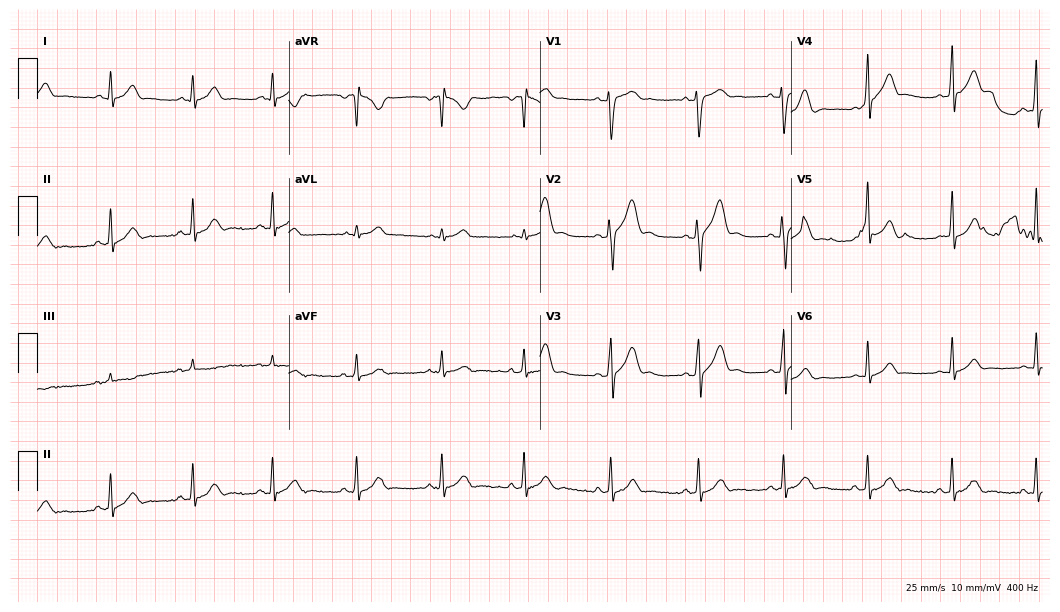
12-lead ECG from a male patient, 20 years old. Recorded interpretation: within normal limits.